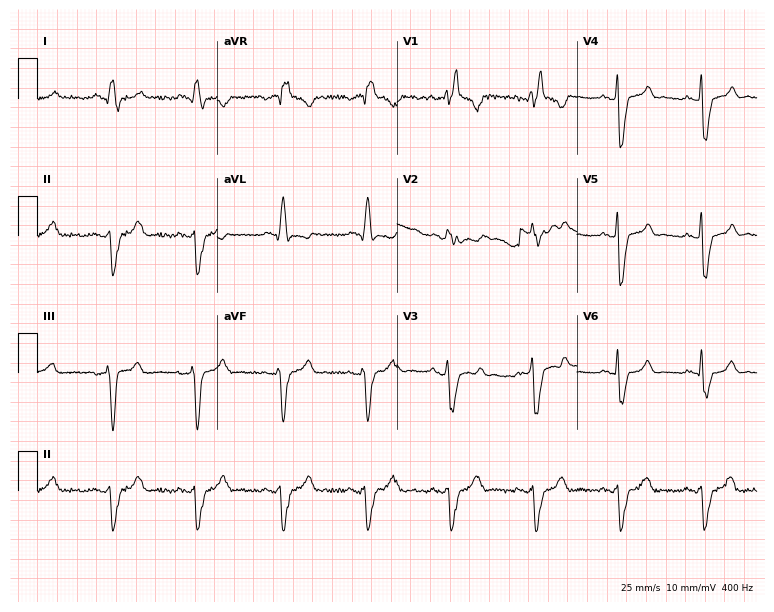
Standard 12-lead ECG recorded from a 59-year-old male. The tracing shows right bundle branch block (RBBB).